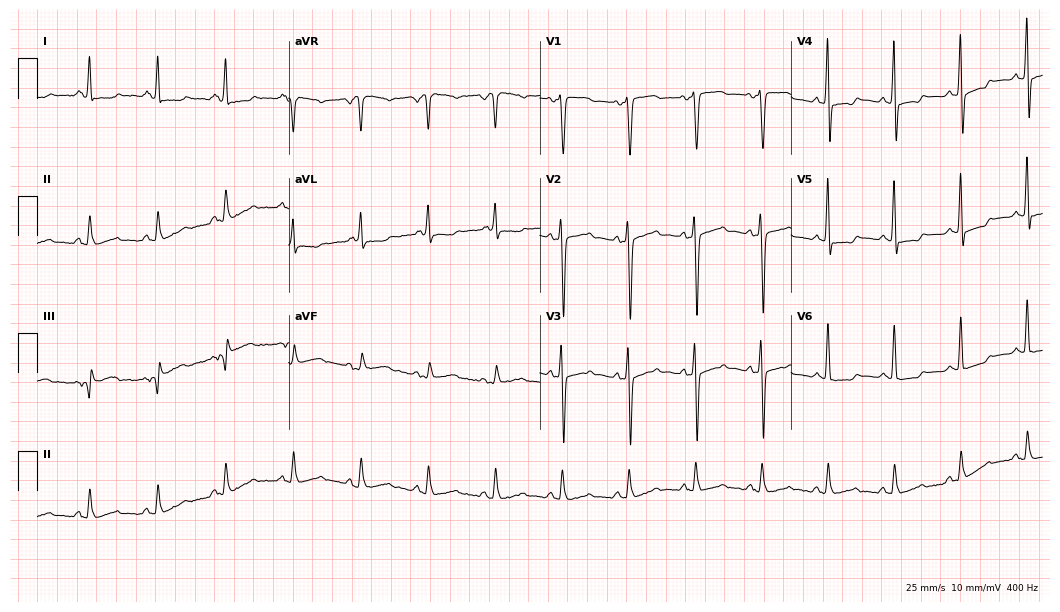
12-lead ECG from a 49-year-old woman (10.2-second recording at 400 Hz). No first-degree AV block, right bundle branch block, left bundle branch block, sinus bradycardia, atrial fibrillation or sinus tachycardia recorded for this tracing.